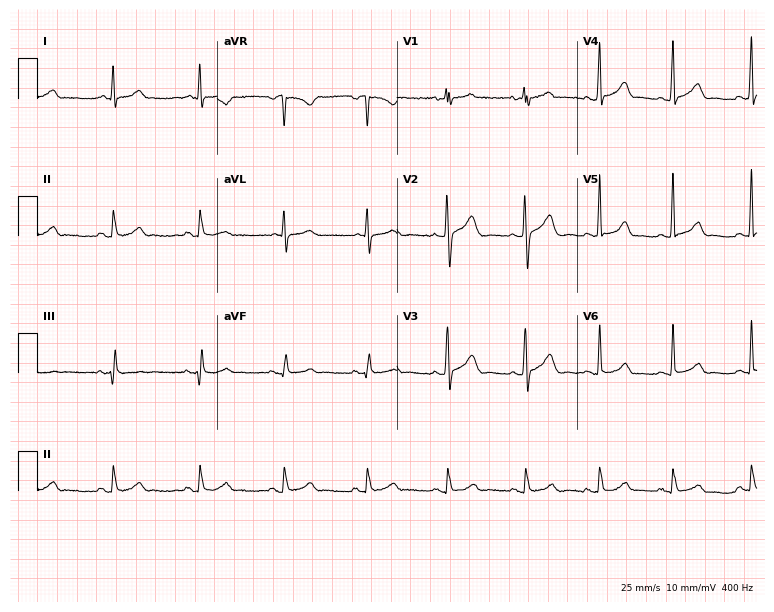
ECG — a male patient, 34 years old. Labelled as a normal ECG.